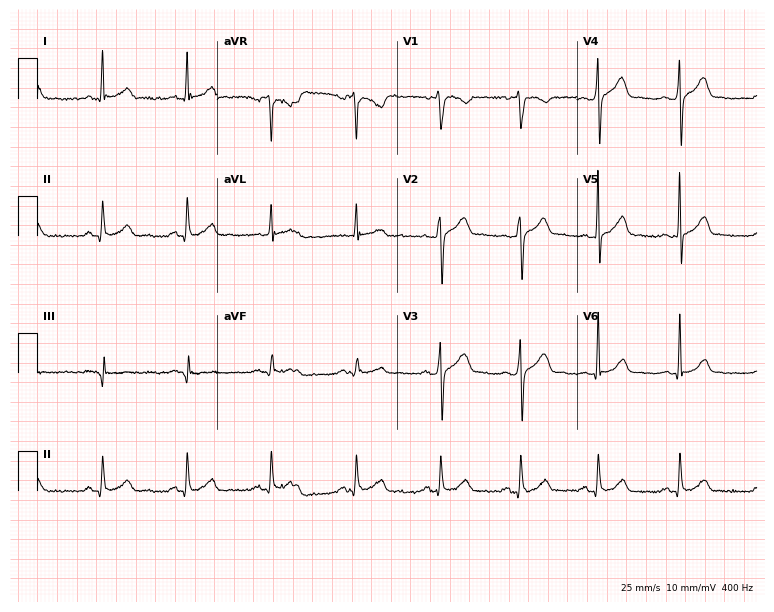
12-lead ECG from a male, 31 years old. Labelled as a normal ECG.